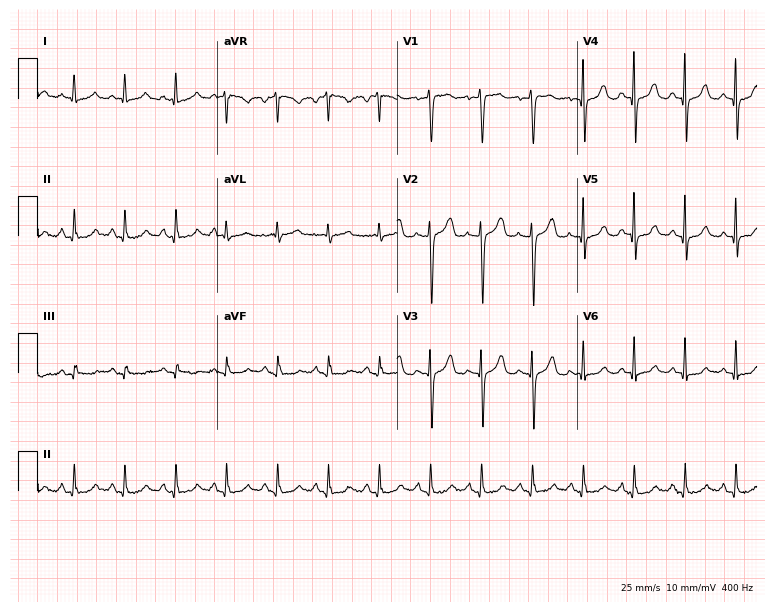
Standard 12-lead ECG recorded from a woman, 64 years old. The tracing shows sinus tachycardia (a sinus rate of 100 beats per minute or more).